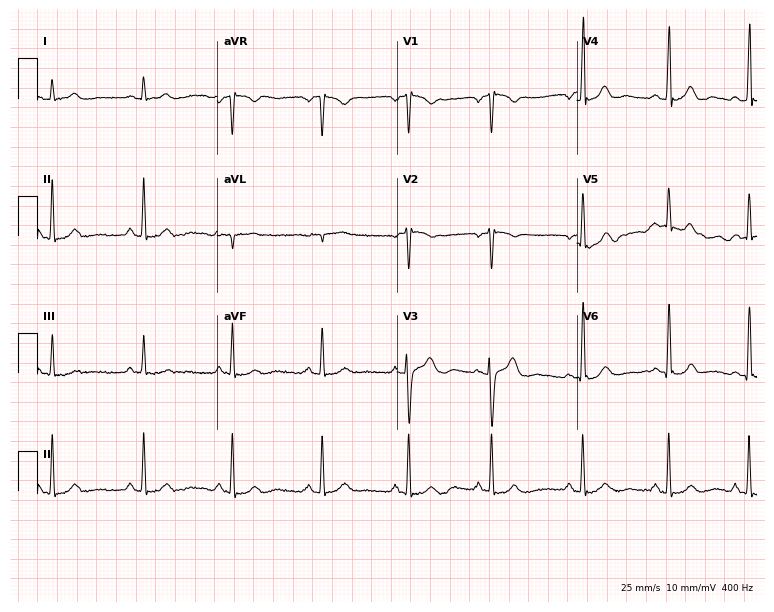
Standard 12-lead ECG recorded from a 24-year-old woman (7.3-second recording at 400 Hz). None of these six findings is recorded: first-degree AV block, right bundle branch block, left bundle branch block, sinus bradycardia, atrial fibrillation, sinus tachycardia. Only these six findings were labelled.